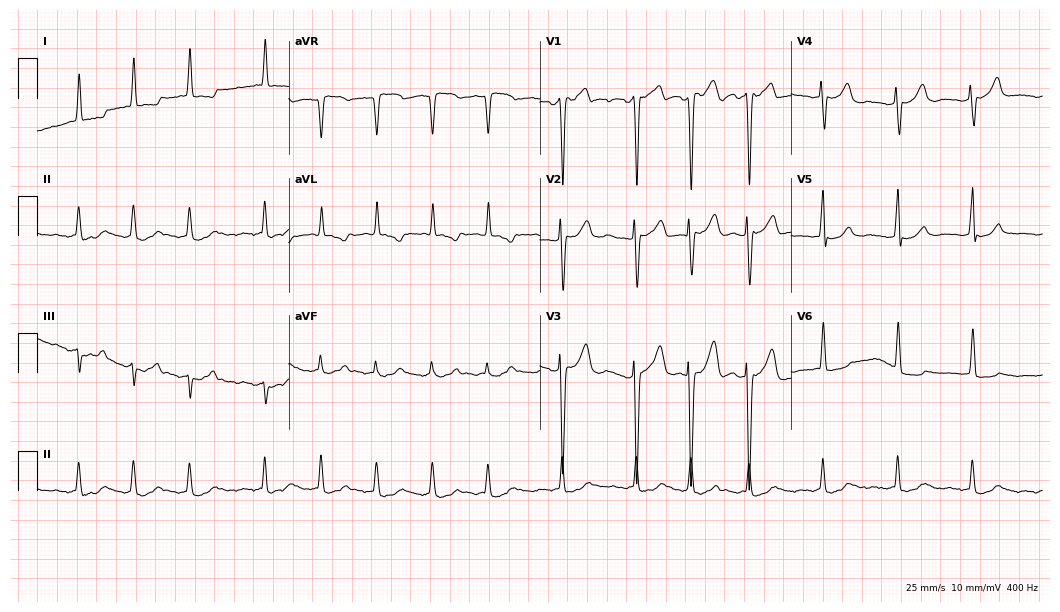
12-lead ECG from a female patient, 81 years old (10.2-second recording at 400 Hz). Shows atrial fibrillation.